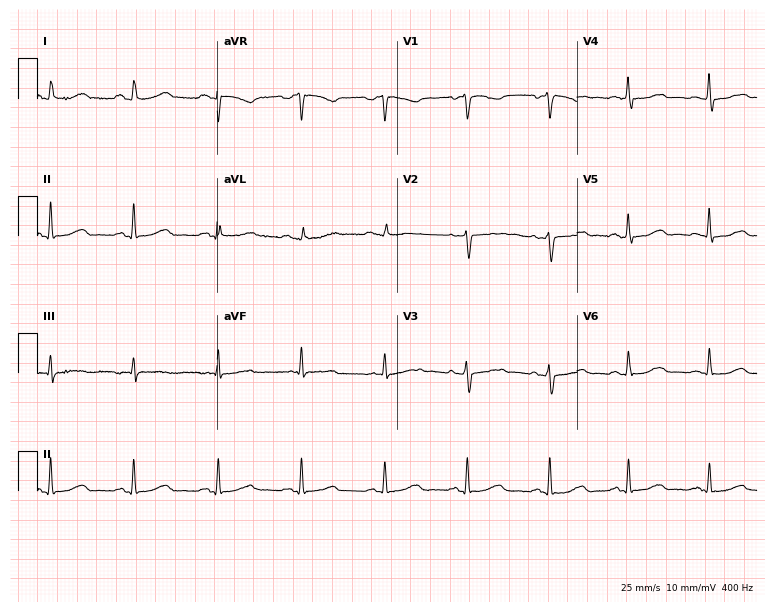
ECG (7.3-second recording at 400 Hz) — a woman, 51 years old. Labelled as a normal ECG.